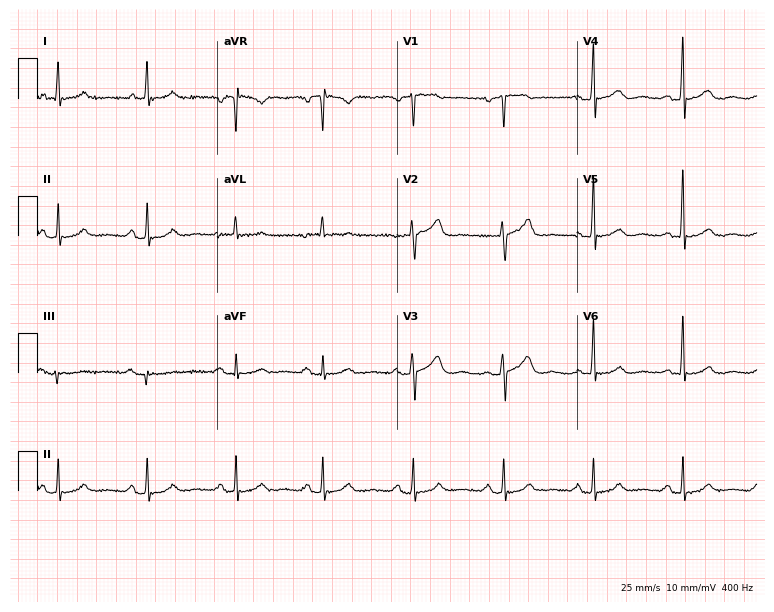
12-lead ECG (7.3-second recording at 400 Hz) from a 61-year-old female. Screened for six findings — first-degree AV block, right bundle branch block, left bundle branch block, sinus bradycardia, atrial fibrillation, sinus tachycardia — none is recorded.